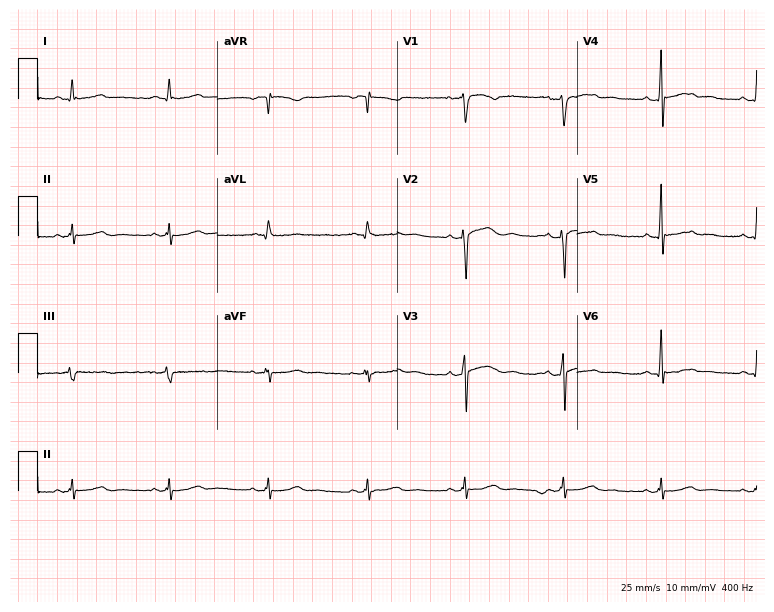
12-lead ECG from a male, 63 years old (7.3-second recording at 400 Hz). Recorded interpretation: within normal limits.